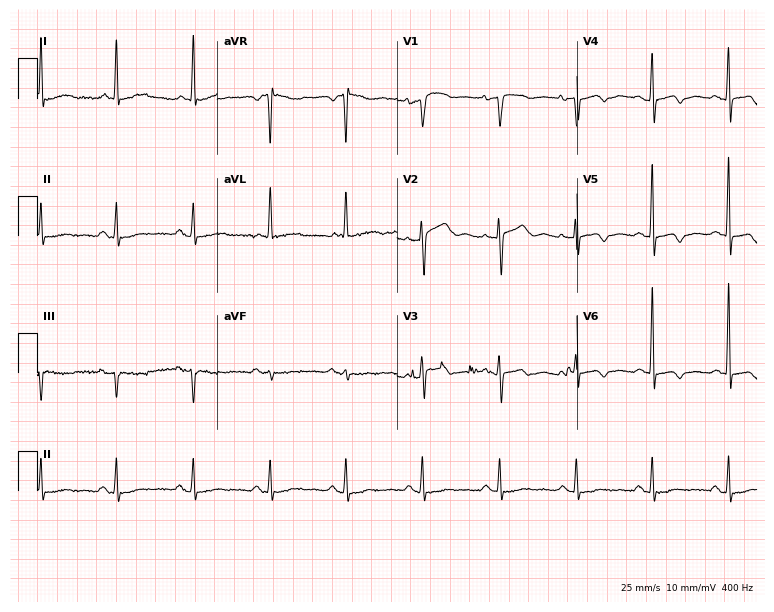
ECG — a woman, 73 years old. Screened for six findings — first-degree AV block, right bundle branch block, left bundle branch block, sinus bradycardia, atrial fibrillation, sinus tachycardia — none is recorded. Only these six findings were labelled.